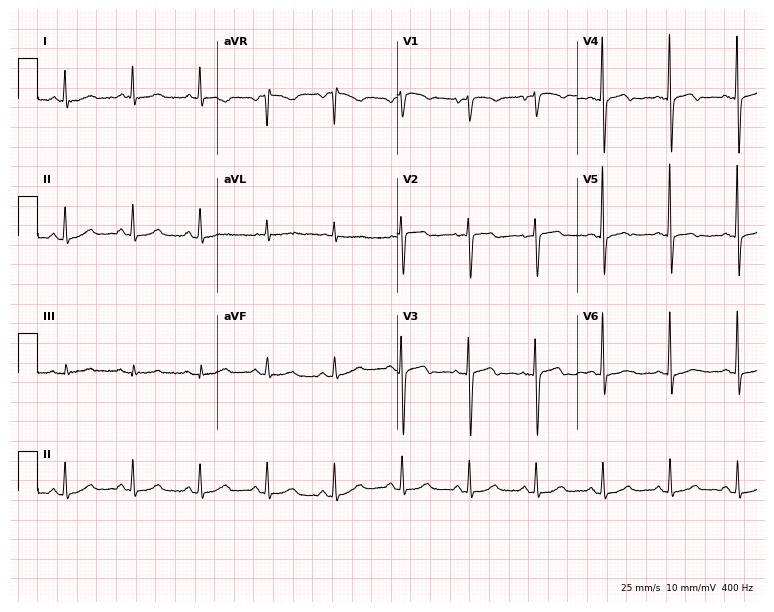
Electrocardiogram (7.3-second recording at 400 Hz), a 77-year-old female. Of the six screened findings (first-degree AV block, right bundle branch block (RBBB), left bundle branch block (LBBB), sinus bradycardia, atrial fibrillation (AF), sinus tachycardia), none is recorded.